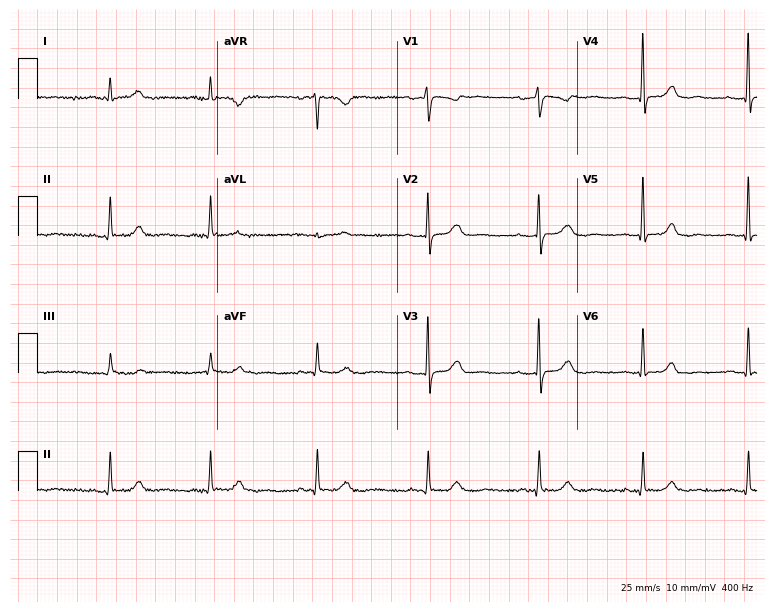
Electrocardiogram (7.3-second recording at 400 Hz), a 58-year-old female. Overall reading on record: normal ECG.